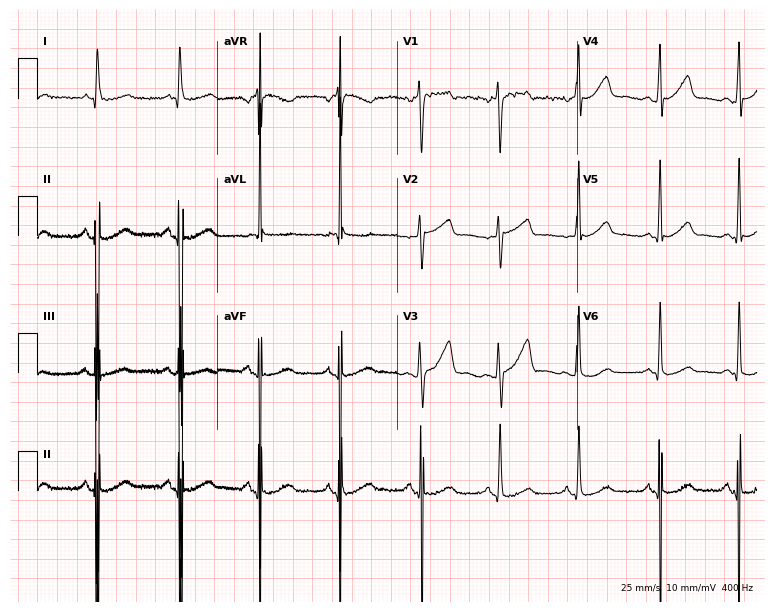
Standard 12-lead ECG recorded from a 35-year-old female (7.3-second recording at 400 Hz). None of these six findings is recorded: first-degree AV block, right bundle branch block (RBBB), left bundle branch block (LBBB), sinus bradycardia, atrial fibrillation (AF), sinus tachycardia. Only these six findings were labelled.